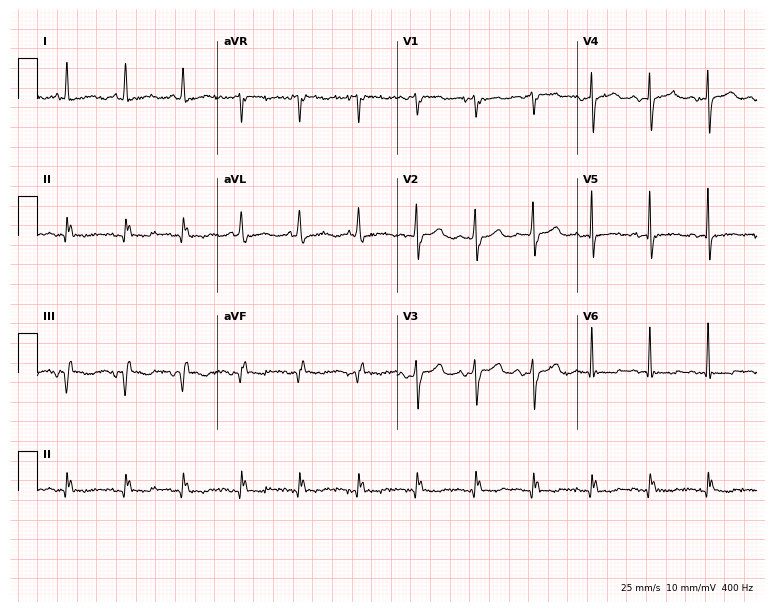
12-lead ECG from a woman, 69 years old. No first-degree AV block, right bundle branch block, left bundle branch block, sinus bradycardia, atrial fibrillation or sinus tachycardia recorded for this tracing.